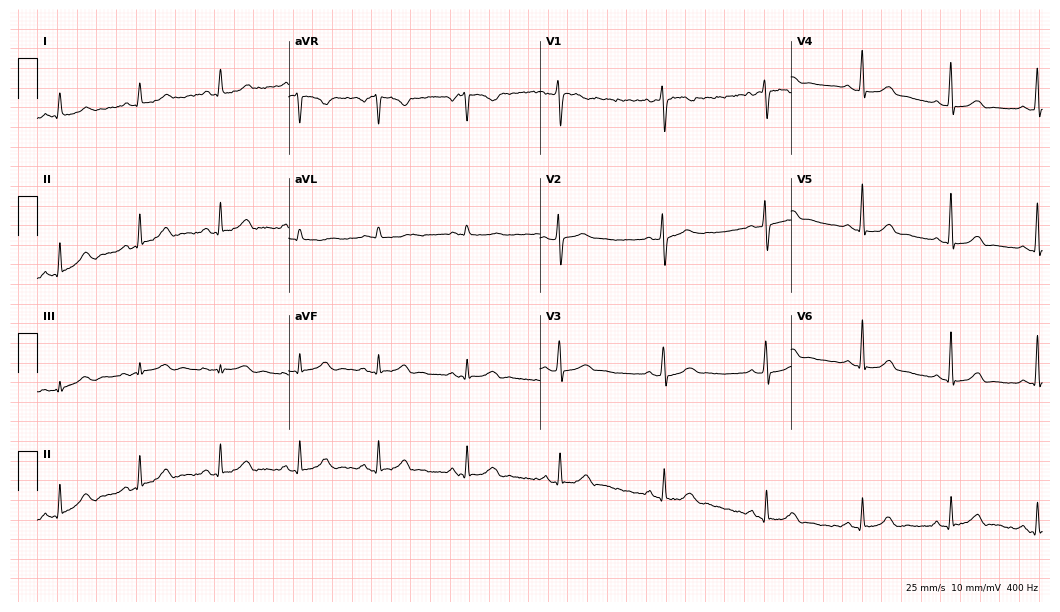
12-lead ECG from a woman, 37 years old. Screened for six findings — first-degree AV block, right bundle branch block, left bundle branch block, sinus bradycardia, atrial fibrillation, sinus tachycardia — none is recorded. Findings outside these six are not listed.